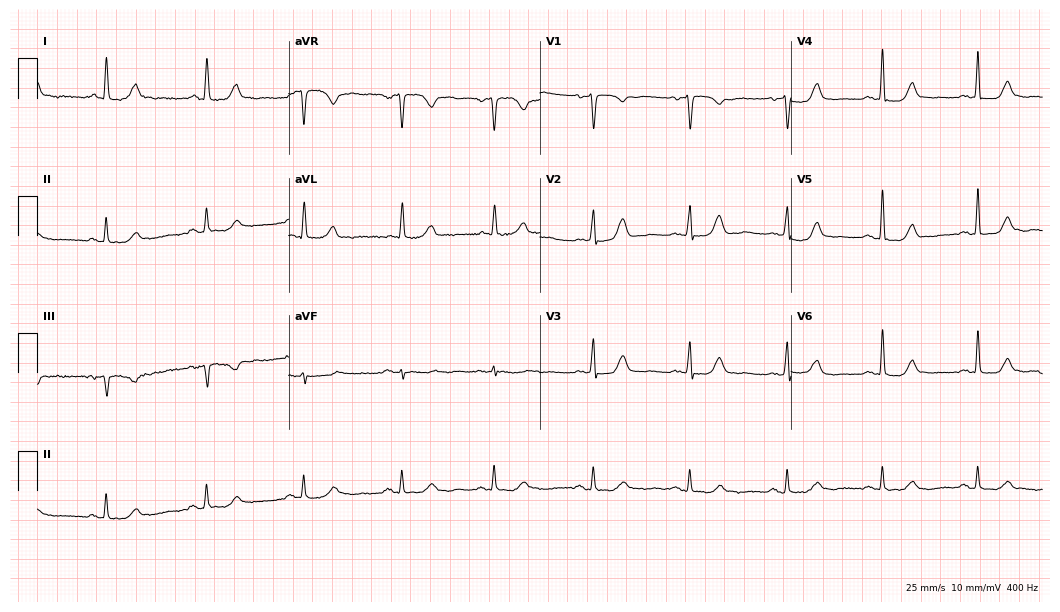
Standard 12-lead ECG recorded from a female, 76 years old (10.2-second recording at 400 Hz). Read as a normal ECG.